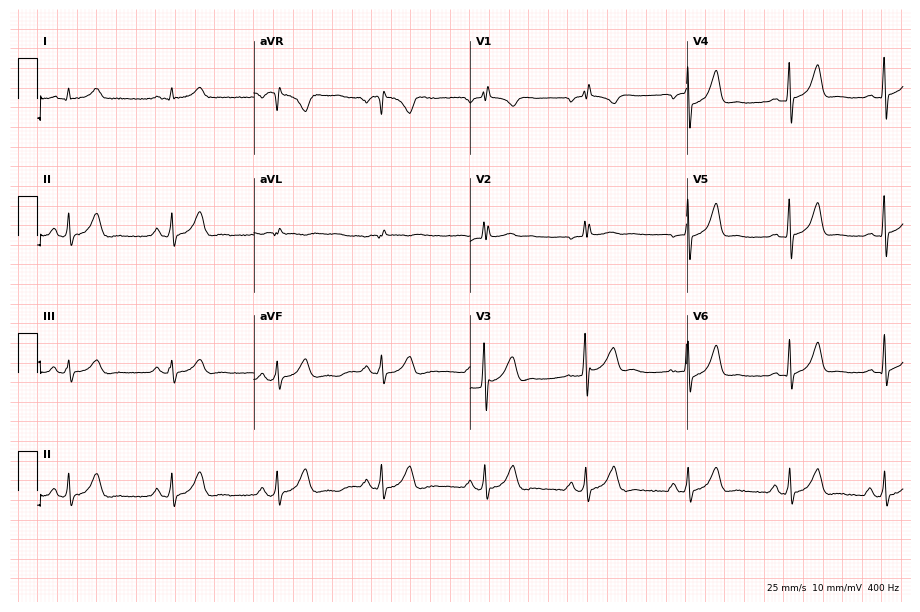
12-lead ECG (8.8-second recording at 400 Hz) from a 53-year-old man. Screened for six findings — first-degree AV block, right bundle branch block, left bundle branch block, sinus bradycardia, atrial fibrillation, sinus tachycardia — none is recorded. Only these six findings were labelled.